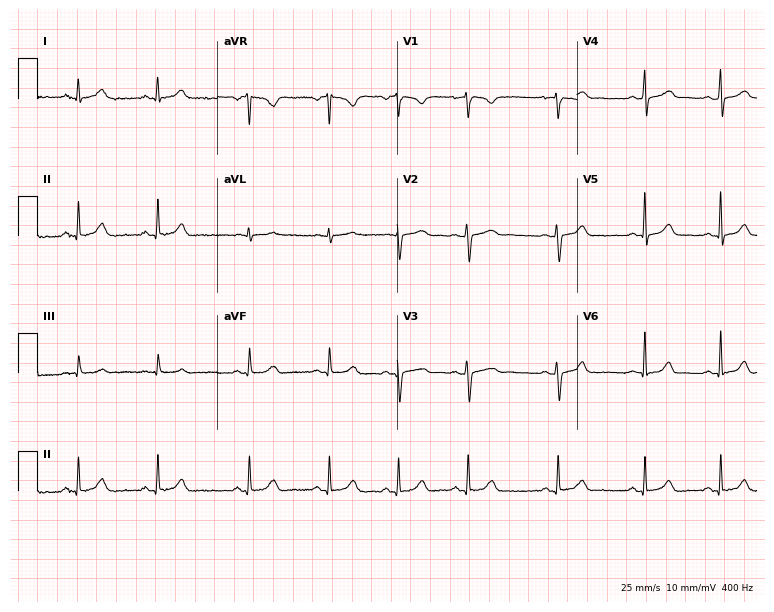
Electrocardiogram, a woman, 20 years old. Overall reading on record: normal ECG.